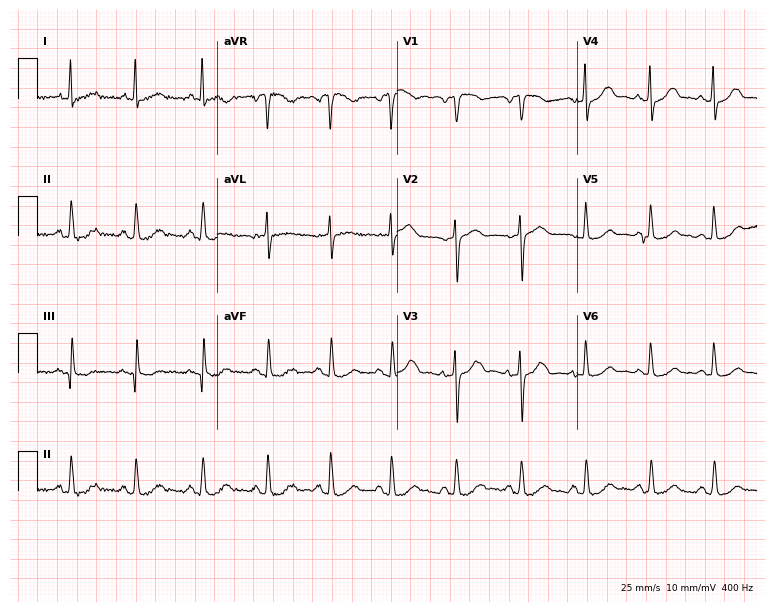
ECG (7.3-second recording at 400 Hz) — a 72-year-old female. Labelled as a normal ECG.